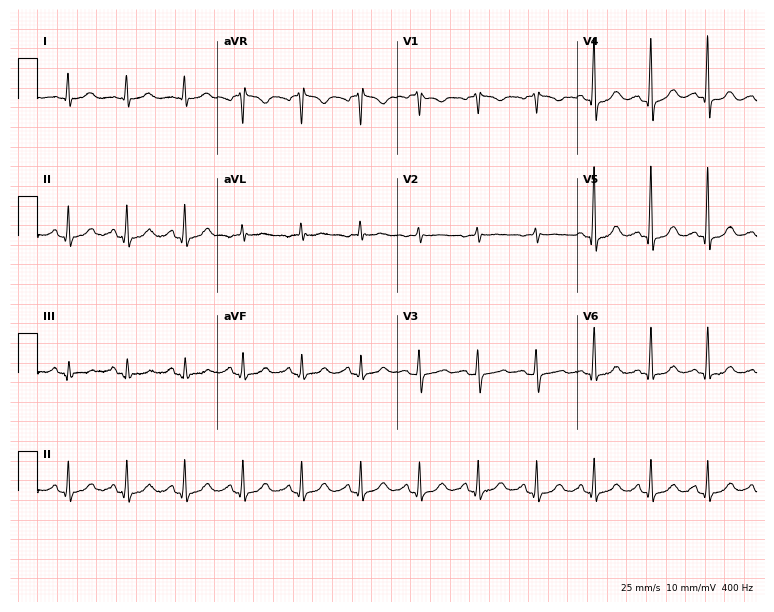
Standard 12-lead ECG recorded from a 69-year-old woman. The tracing shows sinus tachycardia (a sinus rate of 100 beats per minute or more).